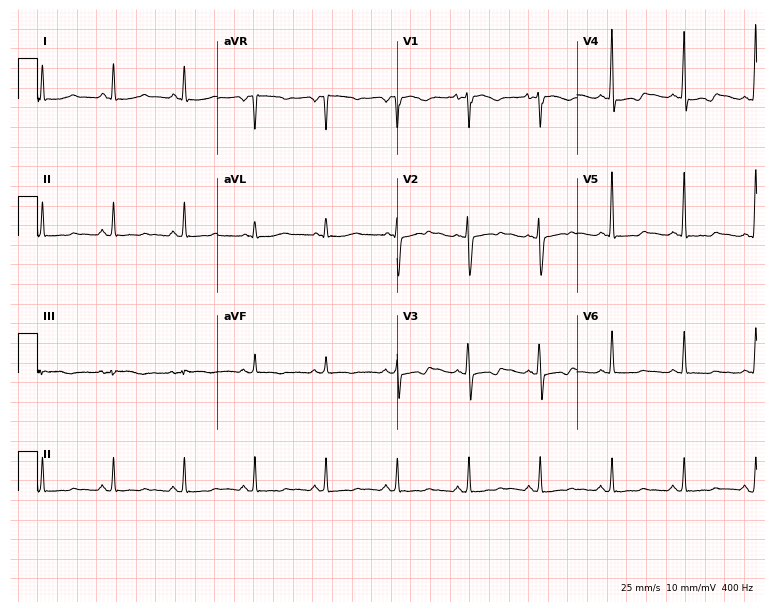
Electrocardiogram (7.3-second recording at 400 Hz), a female, 46 years old. Of the six screened findings (first-degree AV block, right bundle branch block (RBBB), left bundle branch block (LBBB), sinus bradycardia, atrial fibrillation (AF), sinus tachycardia), none is recorded. Other findings, if any, are not listed.